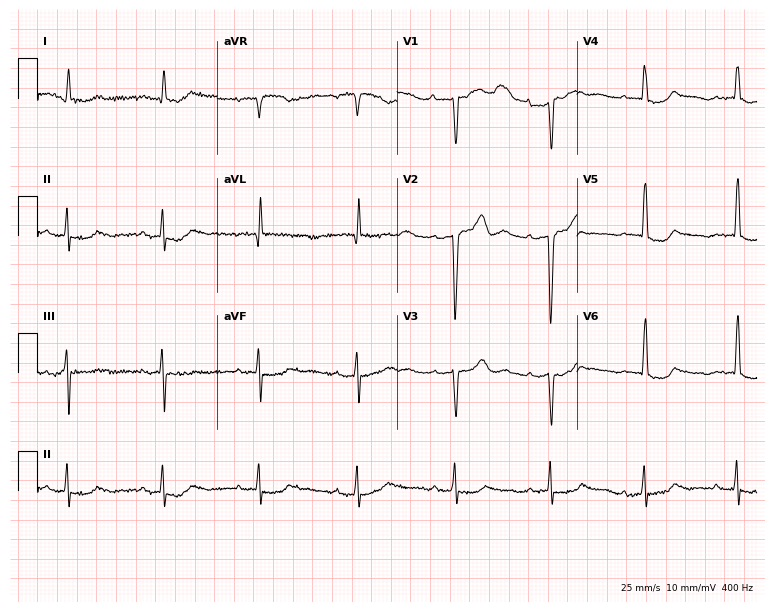
Standard 12-lead ECG recorded from a 75-year-old male patient. Read as a normal ECG.